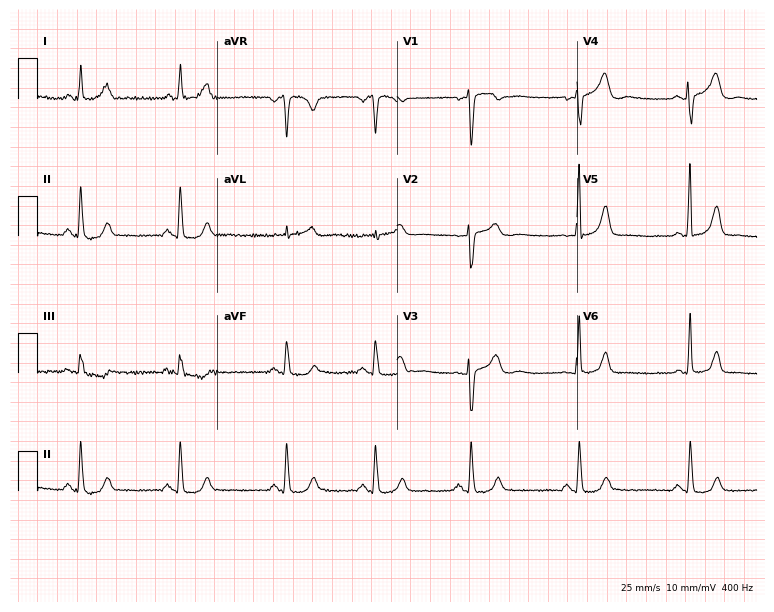
Resting 12-lead electrocardiogram. Patient: a female, 46 years old. None of these six findings is recorded: first-degree AV block, right bundle branch block, left bundle branch block, sinus bradycardia, atrial fibrillation, sinus tachycardia.